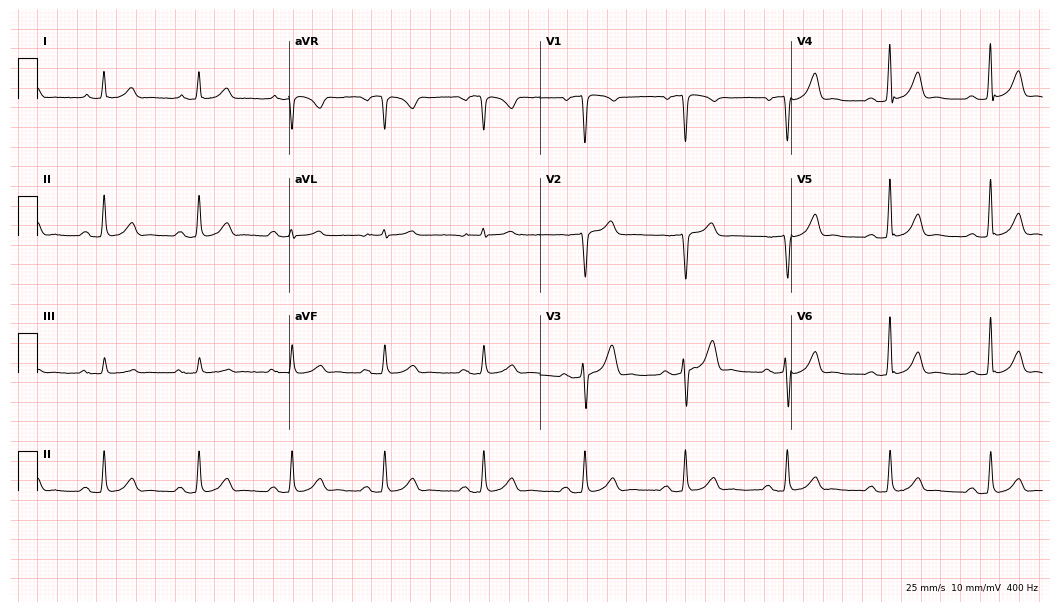
Electrocardiogram (10.2-second recording at 400 Hz), a male, 70 years old. Of the six screened findings (first-degree AV block, right bundle branch block, left bundle branch block, sinus bradycardia, atrial fibrillation, sinus tachycardia), none is recorded.